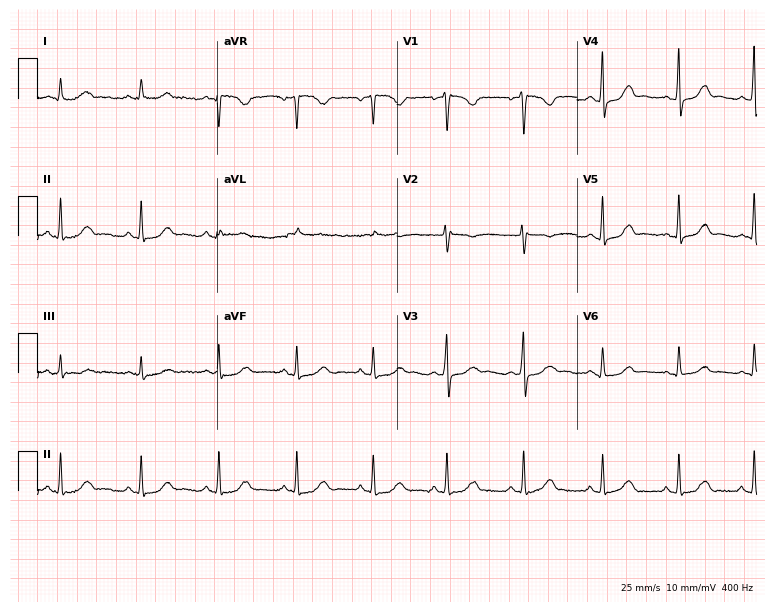
ECG — a 25-year-old female. Screened for six findings — first-degree AV block, right bundle branch block (RBBB), left bundle branch block (LBBB), sinus bradycardia, atrial fibrillation (AF), sinus tachycardia — none is recorded. Findings outside these six are not listed.